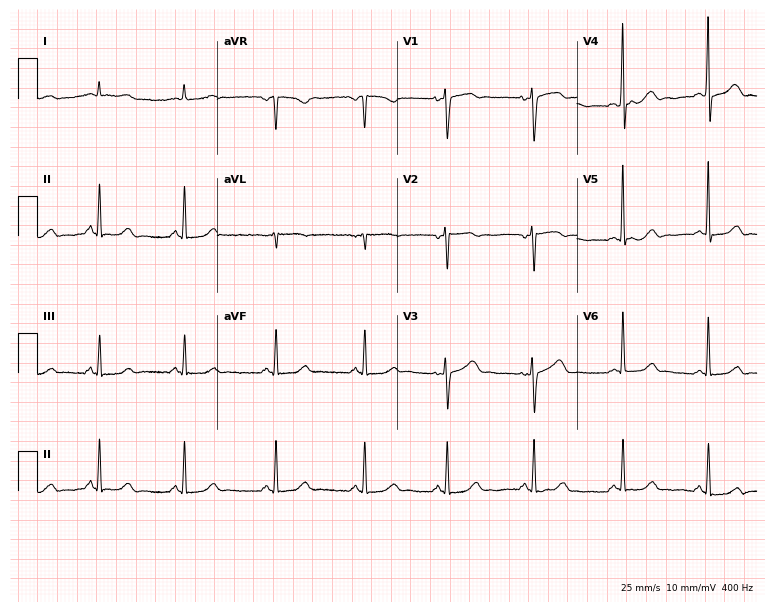
Resting 12-lead electrocardiogram. Patient: a female, 44 years old. None of these six findings is recorded: first-degree AV block, right bundle branch block, left bundle branch block, sinus bradycardia, atrial fibrillation, sinus tachycardia. Other findings, if any, are not listed.